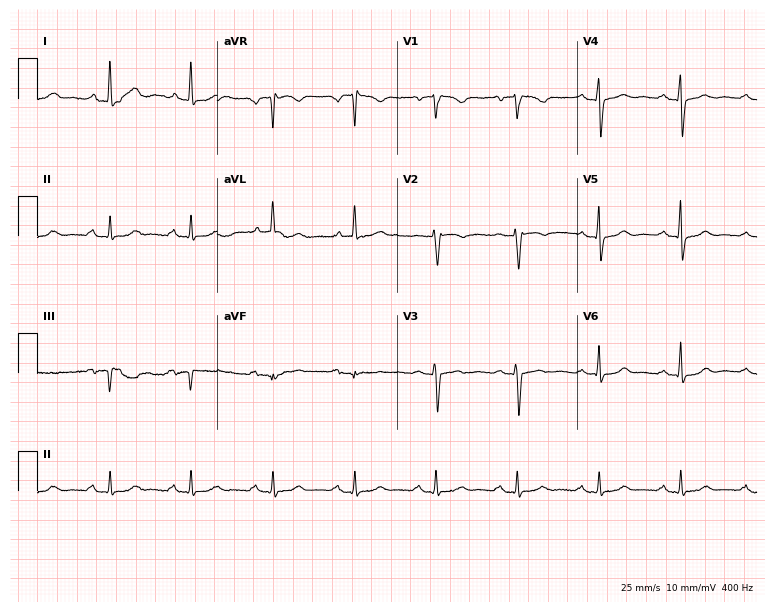
Resting 12-lead electrocardiogram (7.3-second recording at 400 Hz). Patient: a 62-year-old female. None of these six findings is recorded: first-degree AV block, right bundle branch block, left bundle branch block, sinus bradycardia, atrial fibrillation, sinus tachycardia.